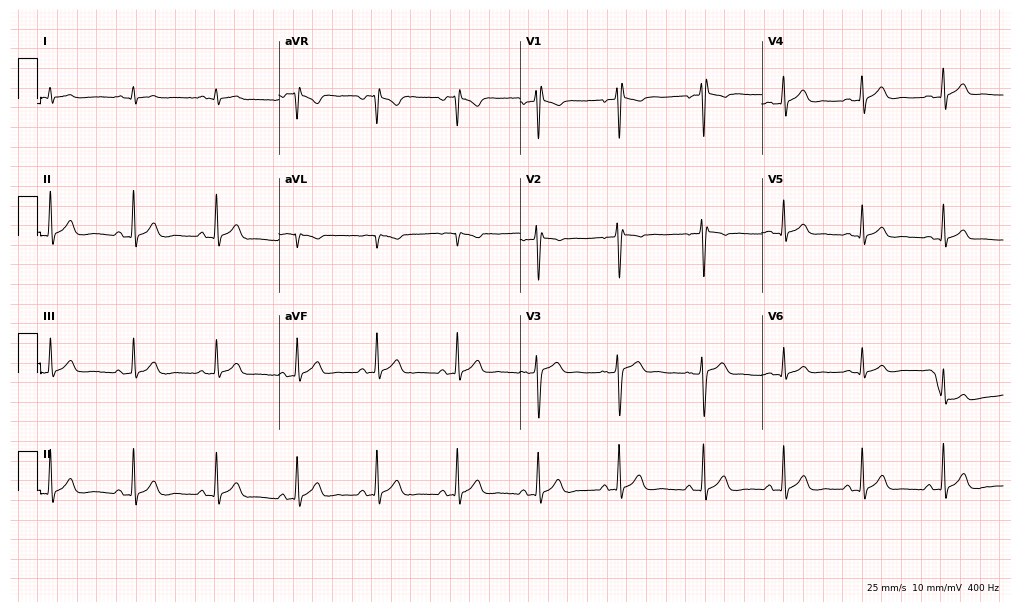
Resting 12-lead electrocardiogram (9.8-second recording at 400 Hz). Patient: a male, 27 years old. None of these six findings is recorded: first-degree AV block, right bundle branch block, left bundle branch block, sinus bradycardia, atrial fibrillation, sinus tachycardia. Findings outside these six are not listed.